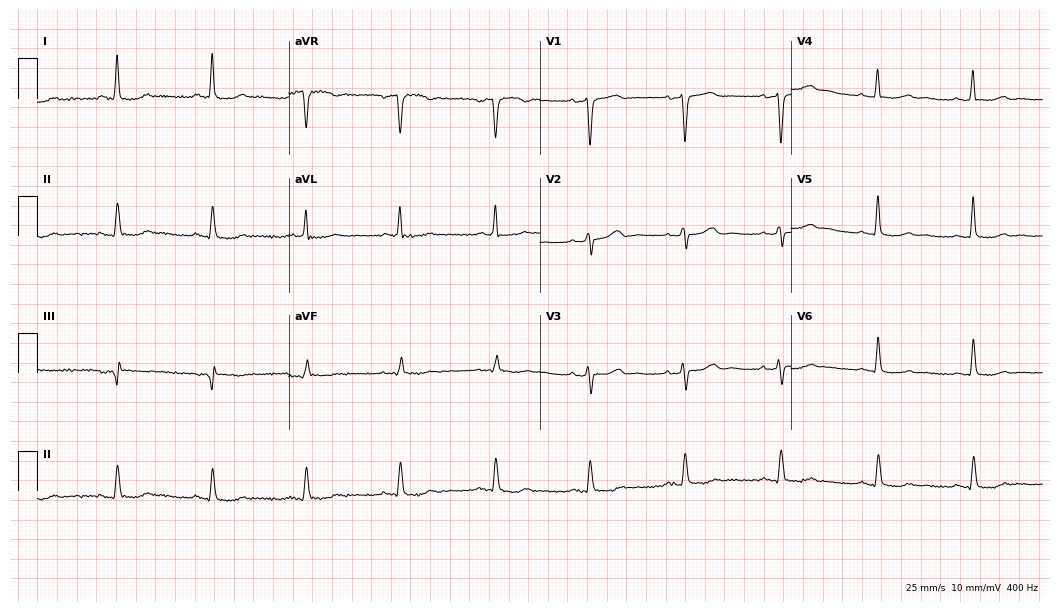
Electrocardiogram, a 67-year-old female. Overall reading on record: normal ECG.